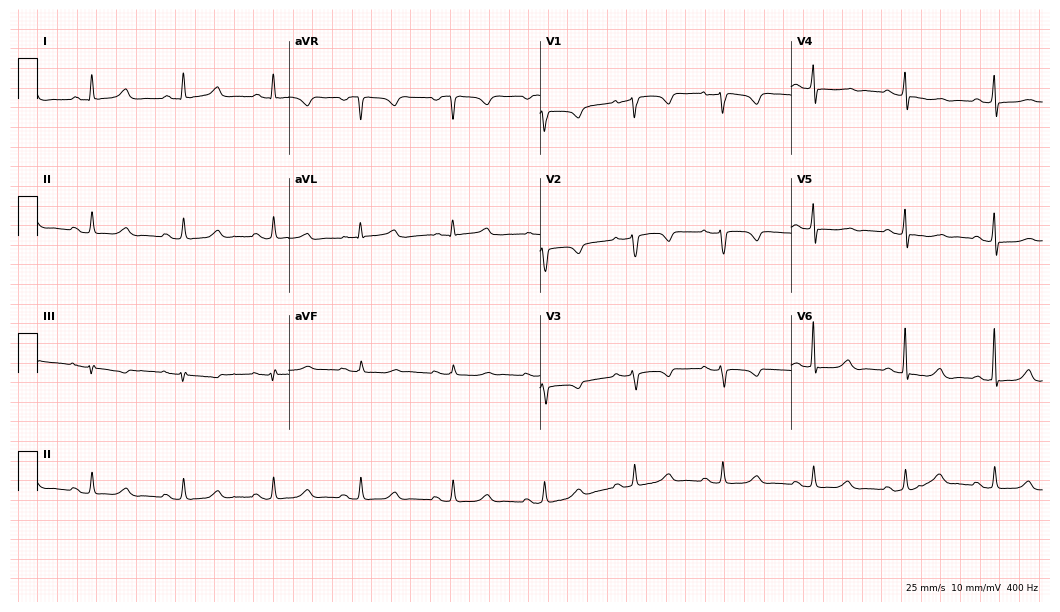
ECG (10.2-second recording at 400 Hz) — a woman, 63 years old. Screened for six findings — first-degree AV block, right bundle branch block (RBBB), left bundle branch block (LBBB), sinus bradycardia, atrial fibrillation (AF), sinus tachycardia — none is recorded.